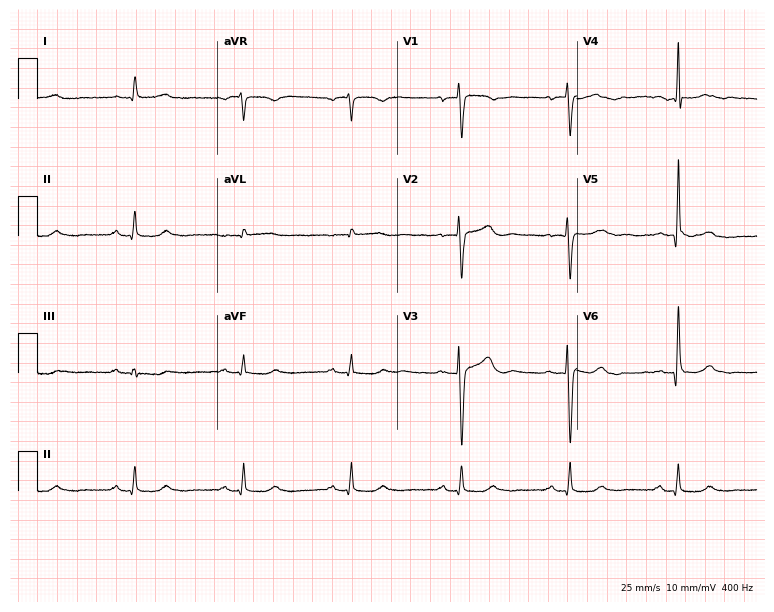
Resting 12-lead electrocardiogram (7.3-second recording at 400 Hz). Patient: a female, 60 years old. Read as a normal ECG.